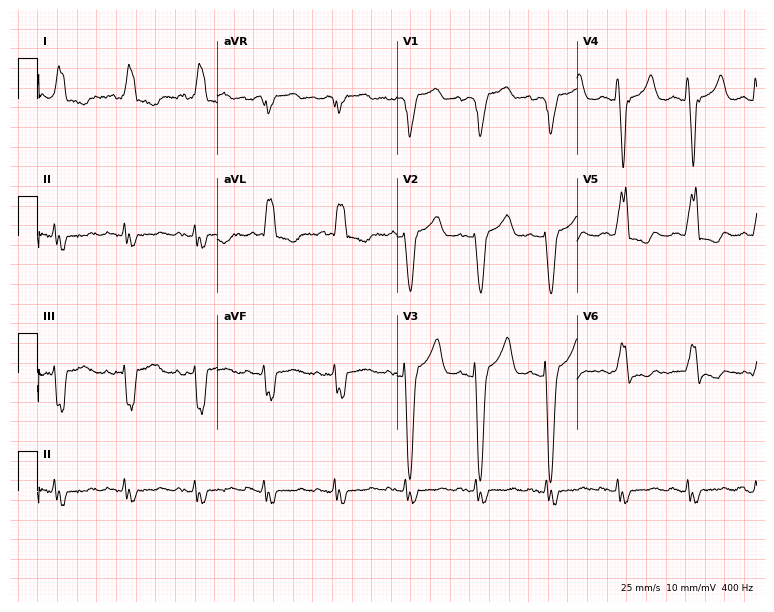
12-lead ECG from a female, 84 years old. Shows left bundle branch block.